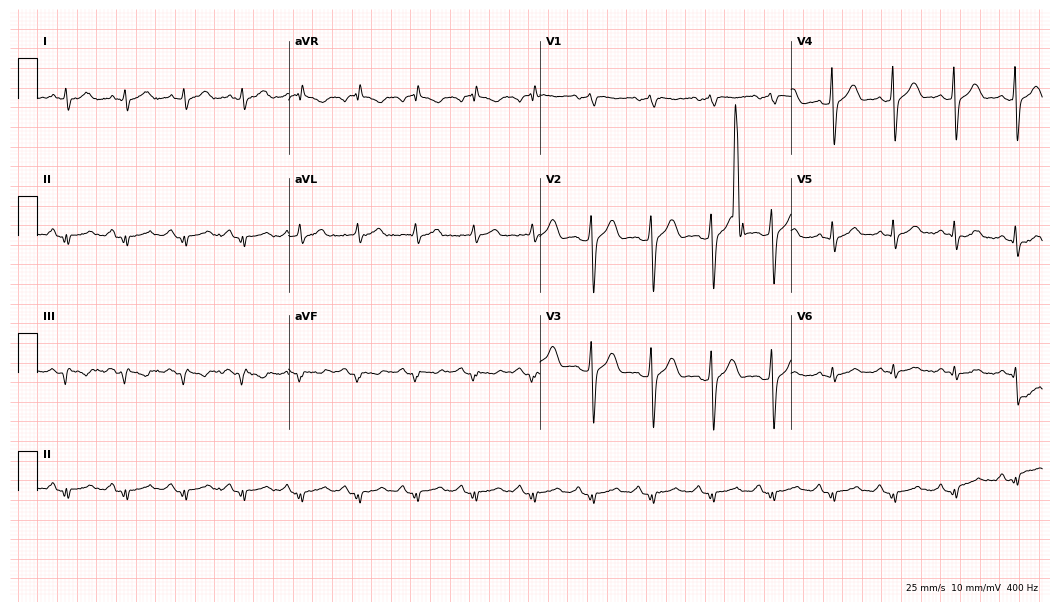
12-lead ECG (10.2-second recording at 400 Hz) from a 57-year-old man. Screened for six findings — first-degree AV block, right bundle branch block, left bundle branch block, sinus bradycardia, atrial fibrillation, sinus tachycardia — none is recorded. Only these six findings were labelled.